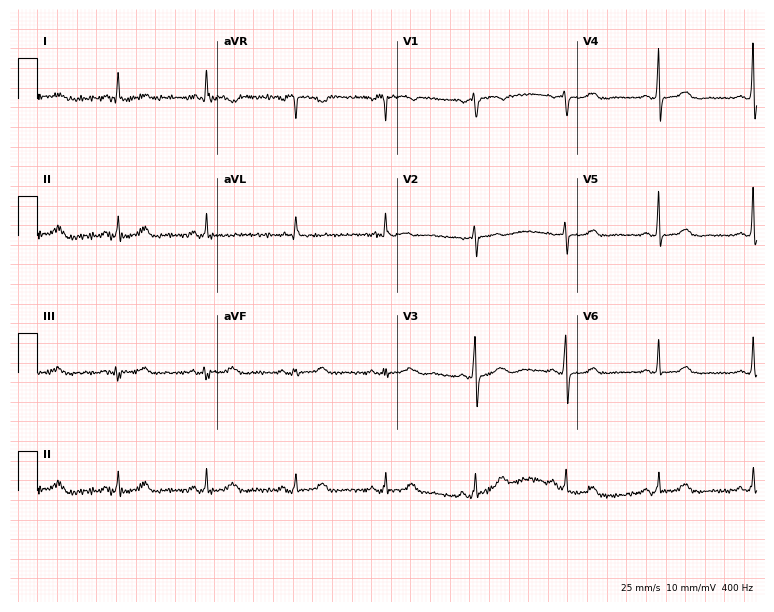
Standard 12-lead ECG recorded from a female patient, 80 years old (7.3-second recording at 400 Hz). Read as a normal ECG.